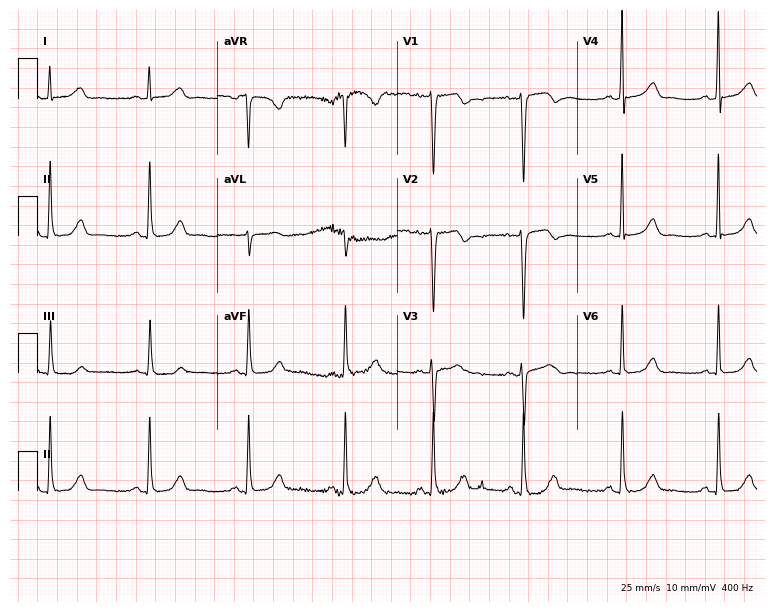
12-lead ECG (7.3-second recording at 400 Hz) from a 42-year-old woman. Screened for six findings — first-degree AV block, right bundle branch block, left bundle branch block, sinus bradycardia, atrial fibrillation, sinus tachycardia — none is recorded. Only these six findings were labelled.